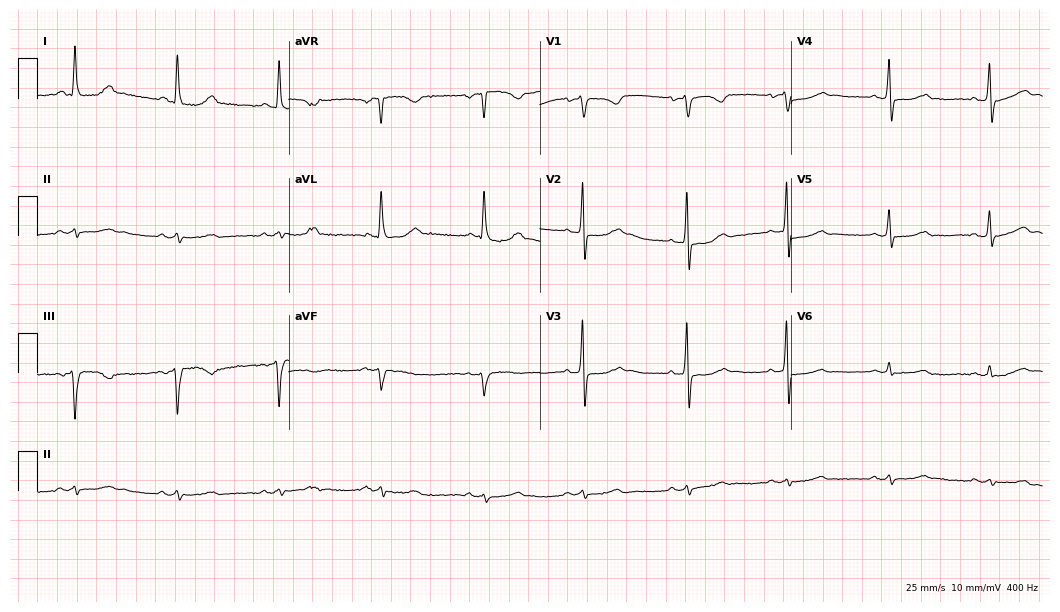
Electrocardiogram (10.2-second recording at 400 Hz), a 51-year-old woman. Of the six screened findings (first-degree AV block, right bundle branch block, left bundle branch block, sinus bradycardia, atrial fibrillation, sinus tachycardia), none is recorded.